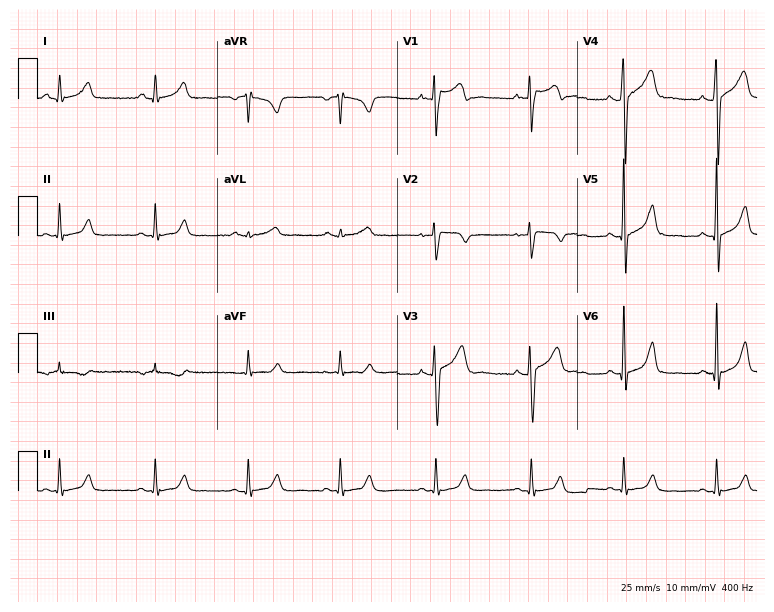
ECG (7.3-second recording at 400 Hz) — a male, 33 years old. Labelled as a normal ECG.